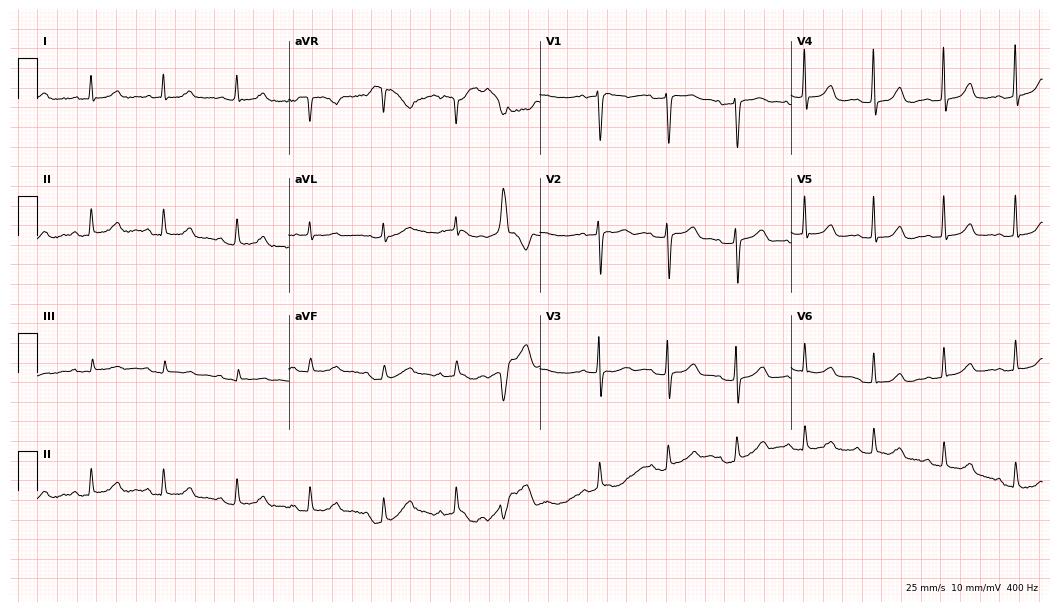
12-lead ECG (10.2-second recording at 400 Hz) from an 80-year-old woman. Labelled as a normal ECG.